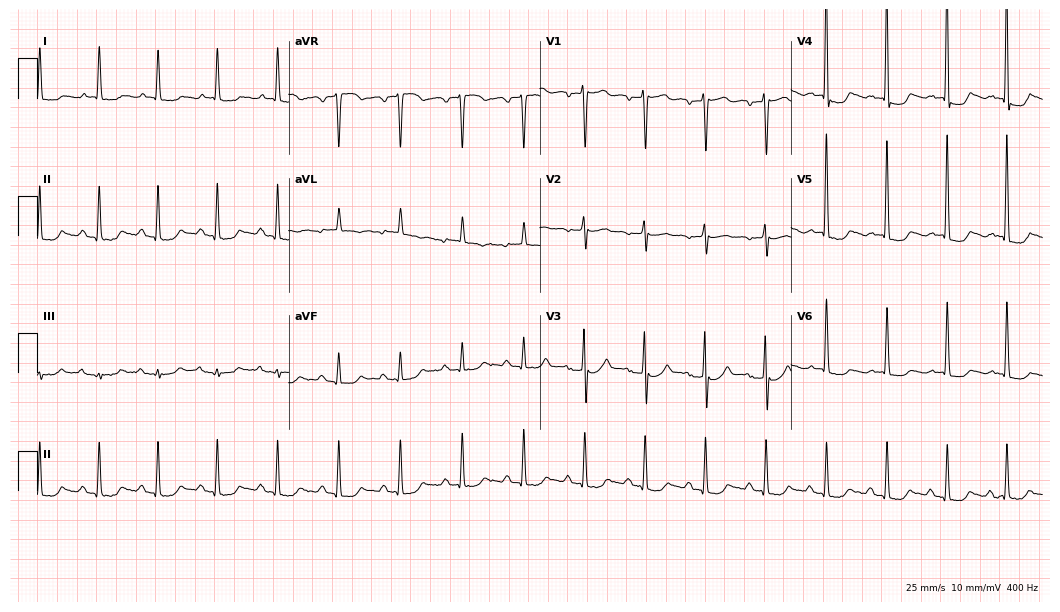
Electrocardiogram (10.2-second recording at 400 Hz), a 77-year-old female. Of the six screened findings (first-degree AV block, right bundle branch block, left bundle branch block, sinus bradycardia, atrial fibrillation, sinus tachycardia), none is recorded. Findings outside these six are not listed.